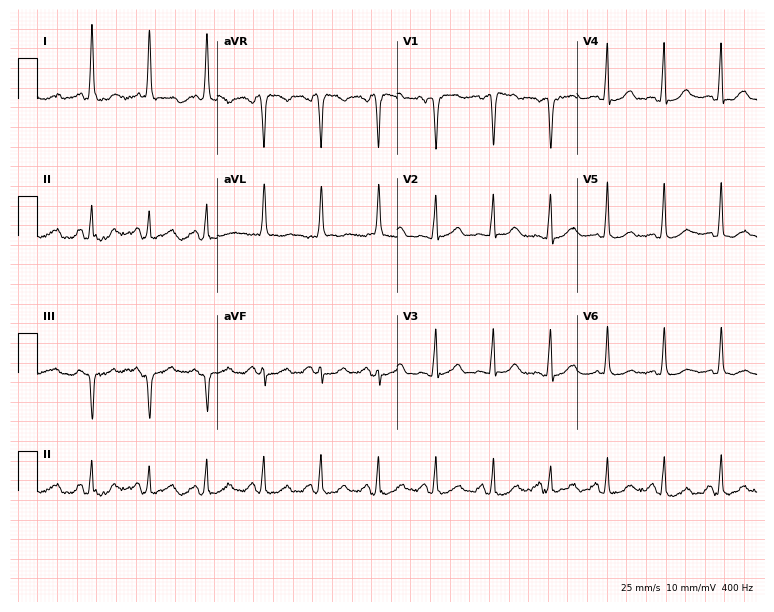
Standard 12-lead ECG recorded from a 57-year-old woman (7.3-second recording at 400 Hz). The tracing shows sinus tachycardia (a sinus rate of 100 beats per minute or more).